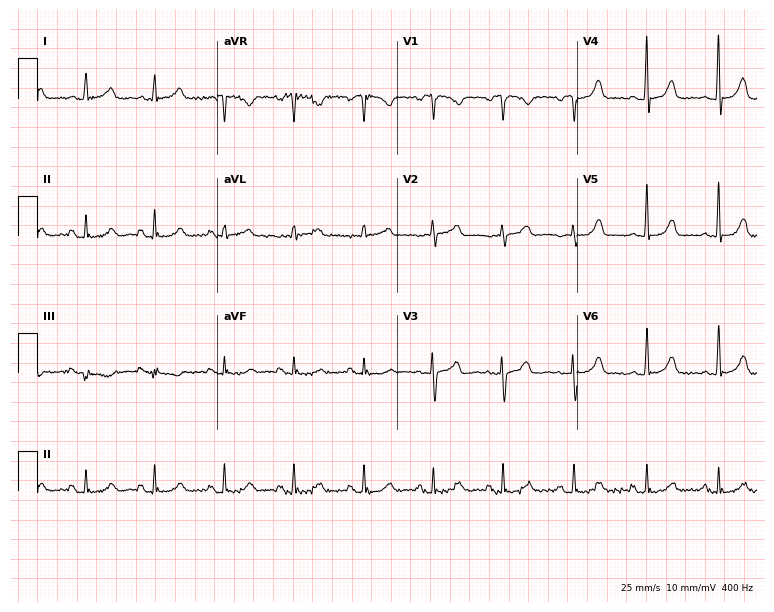
Resting 12-lead electrocardiogram. Patient: a 55-year-old woman. Read as a normal ECG.